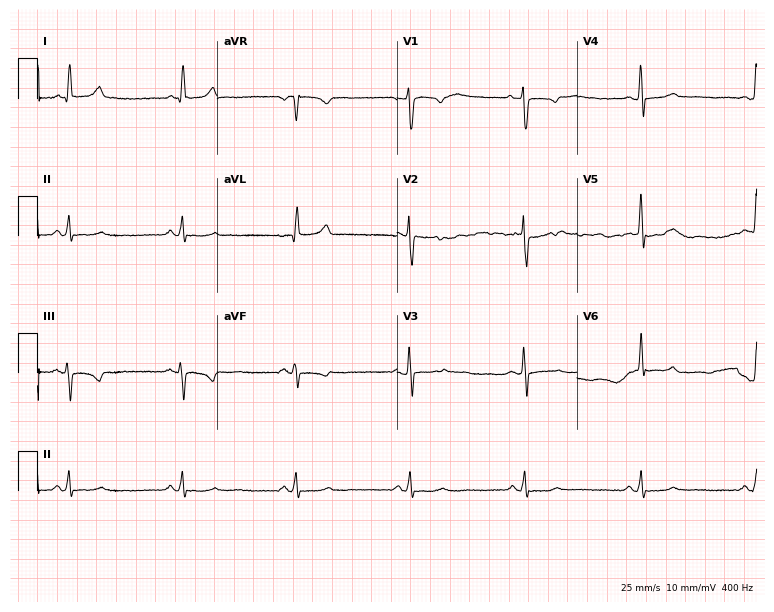
Resting 12-lead electrocardiogram (7.3-second recording at 400 Hz). Patient: a 42-year-old female. Read as a normal ECG.